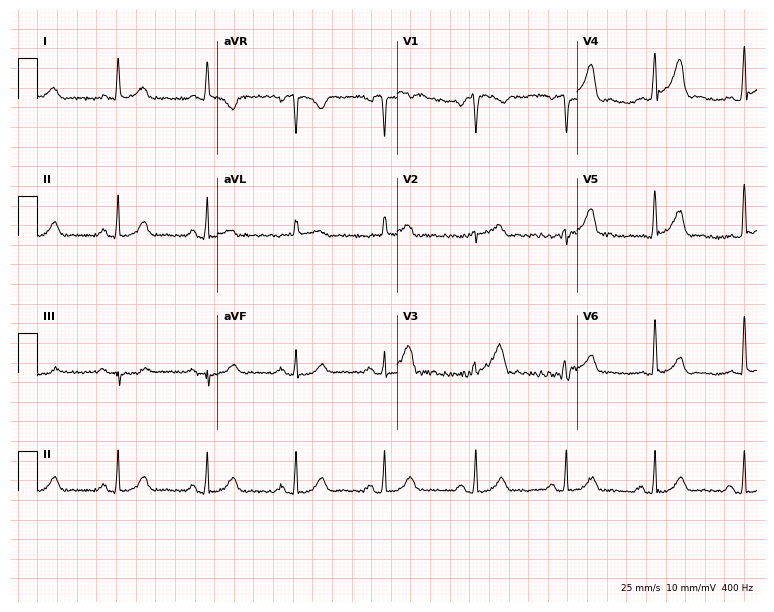
Electrocardiogram (7.3-second recording at 400 Hz), a 53-year-old male. Of the six screened findings (first-degree AV block, right bundle branch block, left bundle branch block, sinus bradycardia, atrial fibrillation, sinus tachycardia), none is recorded.